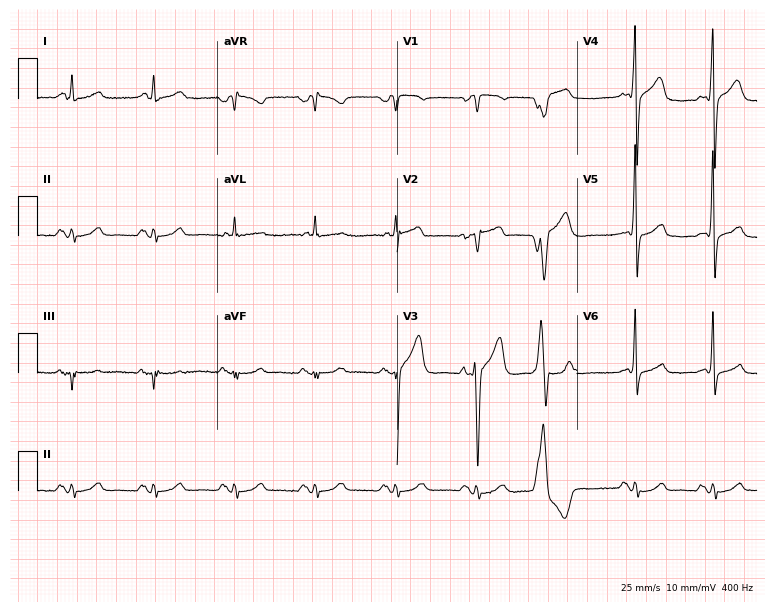
12-lead ECG (7.3-second recording at 400 Hz) from a 70-year-old man. Screened for six findings — first-degree AV block, right bundle branch block (RBBB), left bundle branch block (LBBB), sinus bradycardia, atrial fibrillation (AF), sinus tachycardia — none is recorded. Only these six findings were labelled.